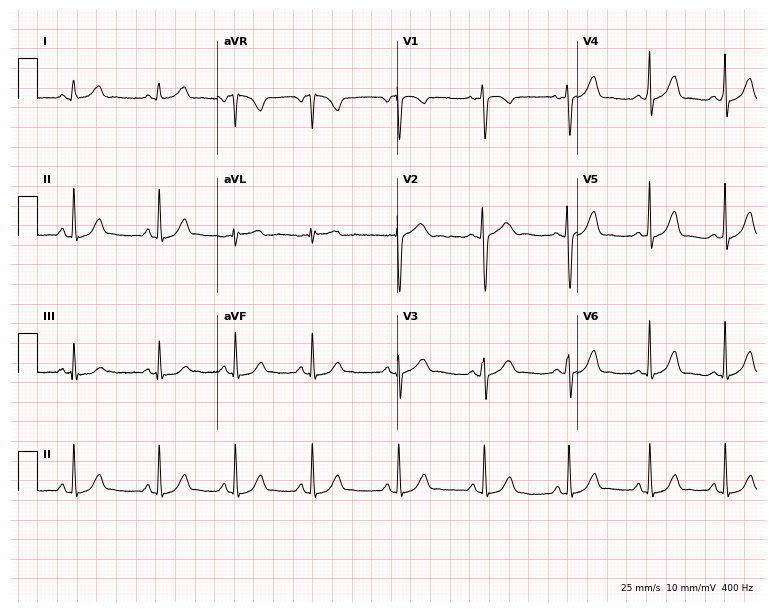
Resting 12-lead electrocardiogram (7.3-second recording at 400 Hz). Patient: a female, 19 years old. None of these six findings is recorded: first-degree AV block, right bundle branch block, left bundle branch block, sinus bradycardia, atrial fibrillation, sinus tachycardia.